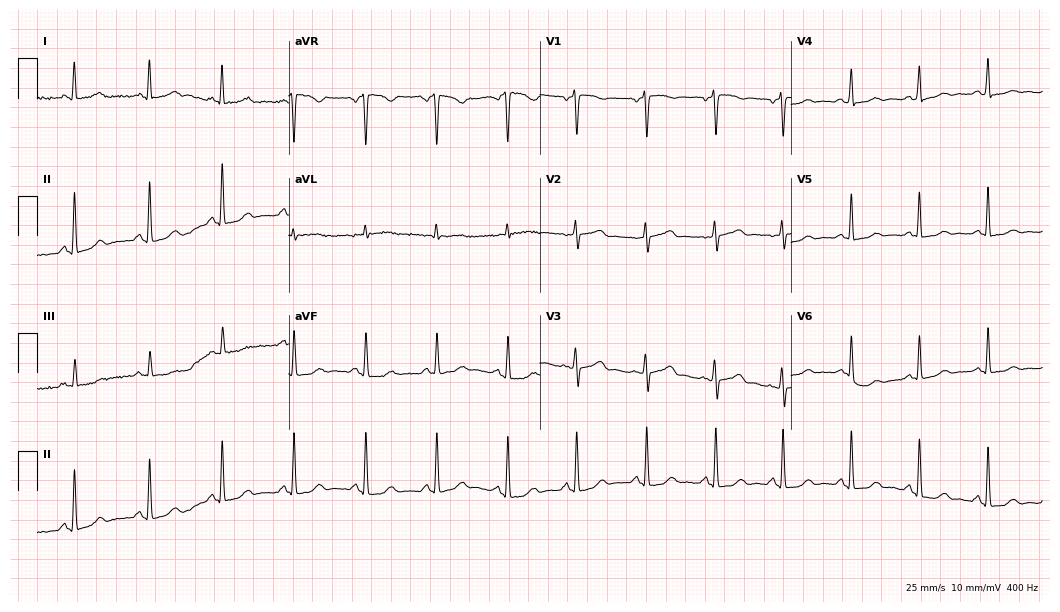
12-lead ECG from a female patient, 53 years old. No first-degree AV block, right bundle branch block, left bundle branch block, sinus bradycardia, atrial fibrillation or sinus tachycardia recorded for this tracing. Other findings, if any, are not listed.